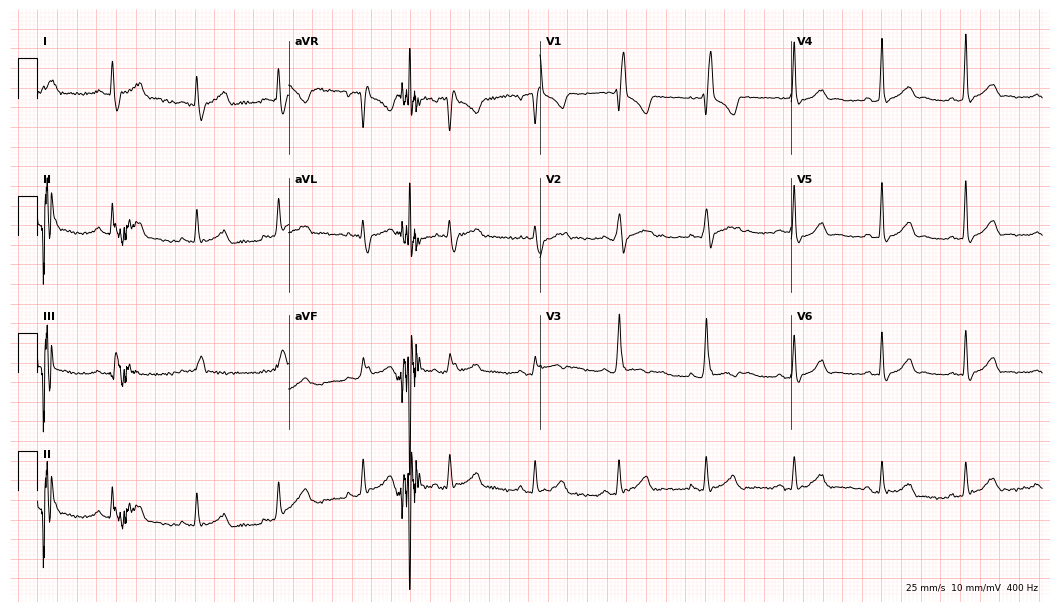
12-lead ECG from a male, 49 years old. Shows right bundle branch block.